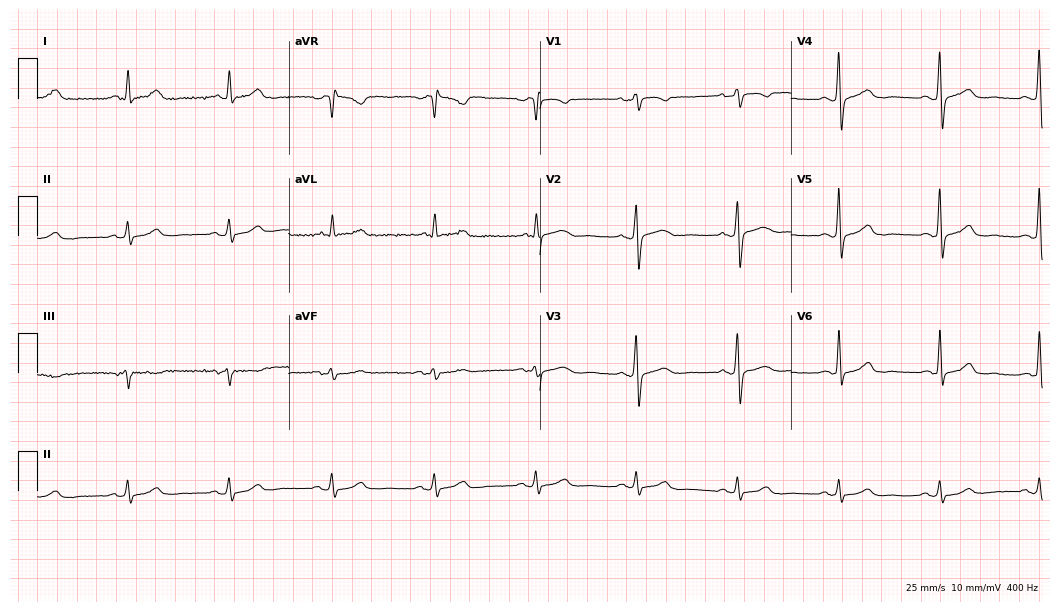
Electrocardiogram, a 59-year-old woman. Of the six screened findings (first-degree AV block, right bundle branch block (RBBB), left bundle branch block (LBBB), sinus bradycardia, atrial fibrillation (AF), sinus tachycardia), none is recorded.